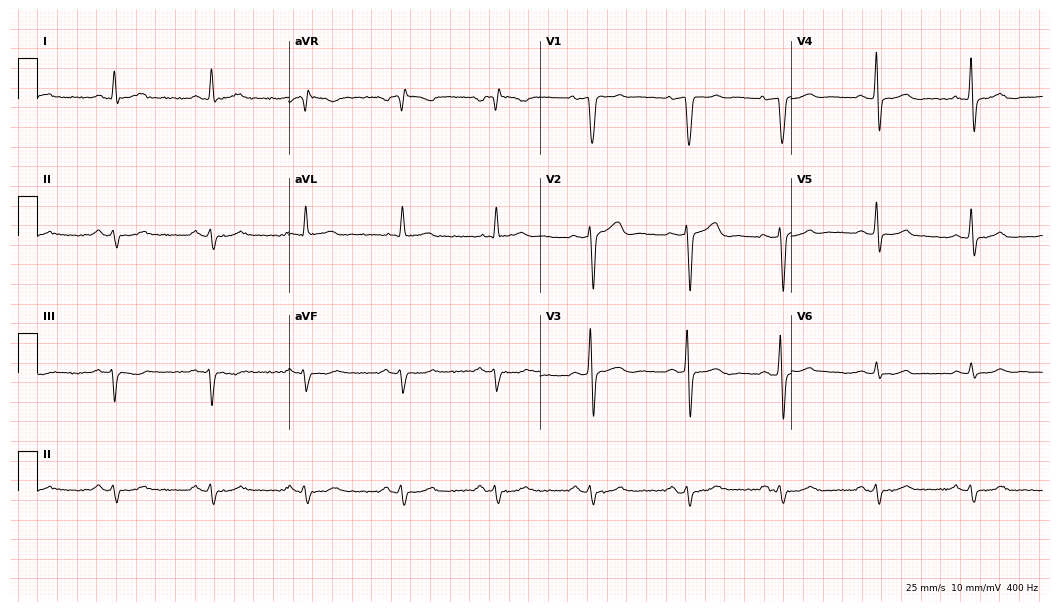
Resting 12-lead electrocardiogram (10.2-second recording at 400 Hz). Patient: a man, 78 years old. The tracing shows left bundle branch block.